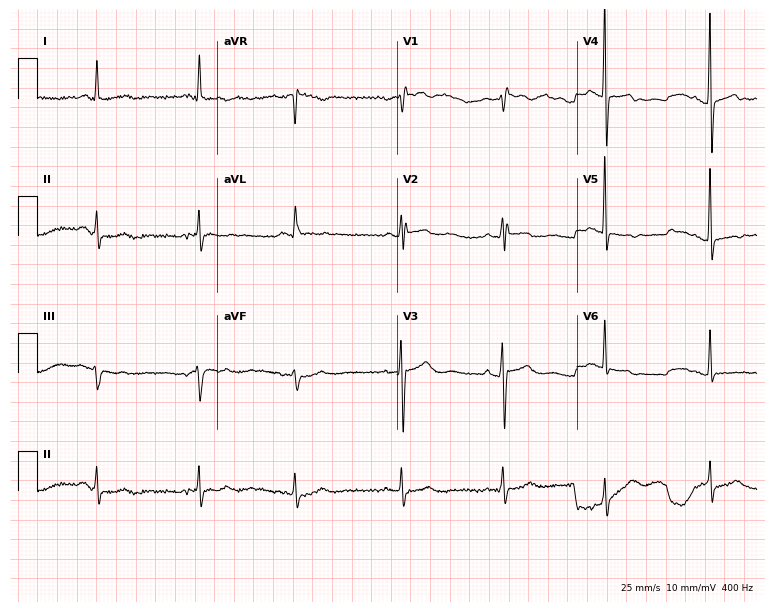
ECG — a 61-year-old female patient. Screened for six findings — first-degree AV block, right bundle branch block, left bundle branch block, sinus bradycardia, atrial fibrillation, sinus tachycardia — none is recorded.